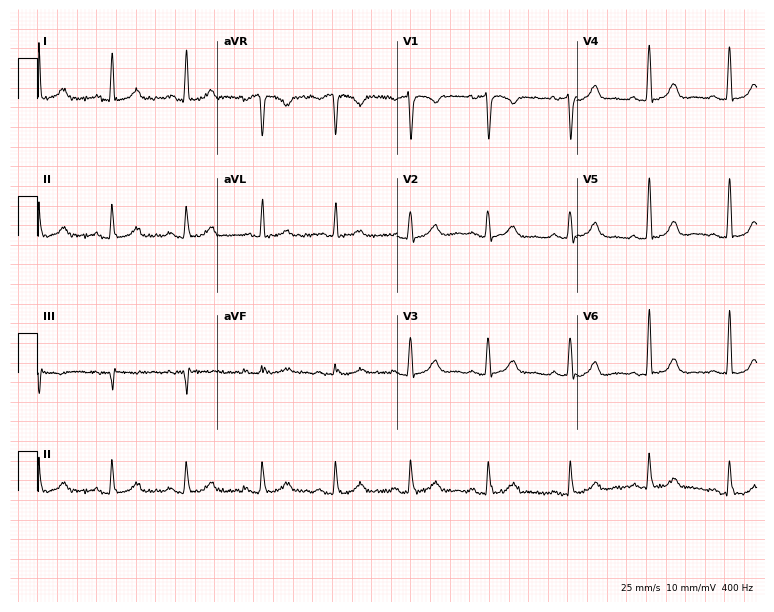
ECG — a woman, 33 years old. Labelled as a normal ECG.